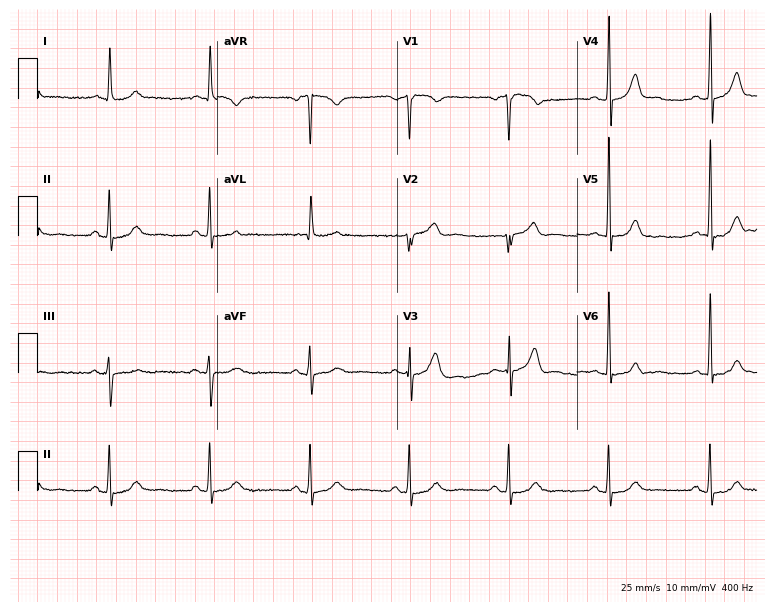
ECG — a male, 62 years old. Labelled as a normal ECG.